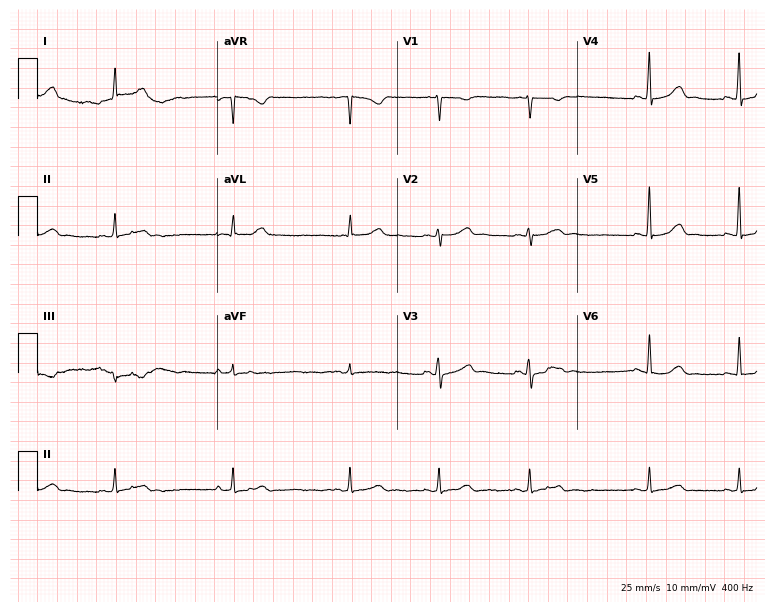
12-lead ECG (7.3-second recording at 400 Hz) from a female patient, 42 years old. Labelled as a normal ECG.